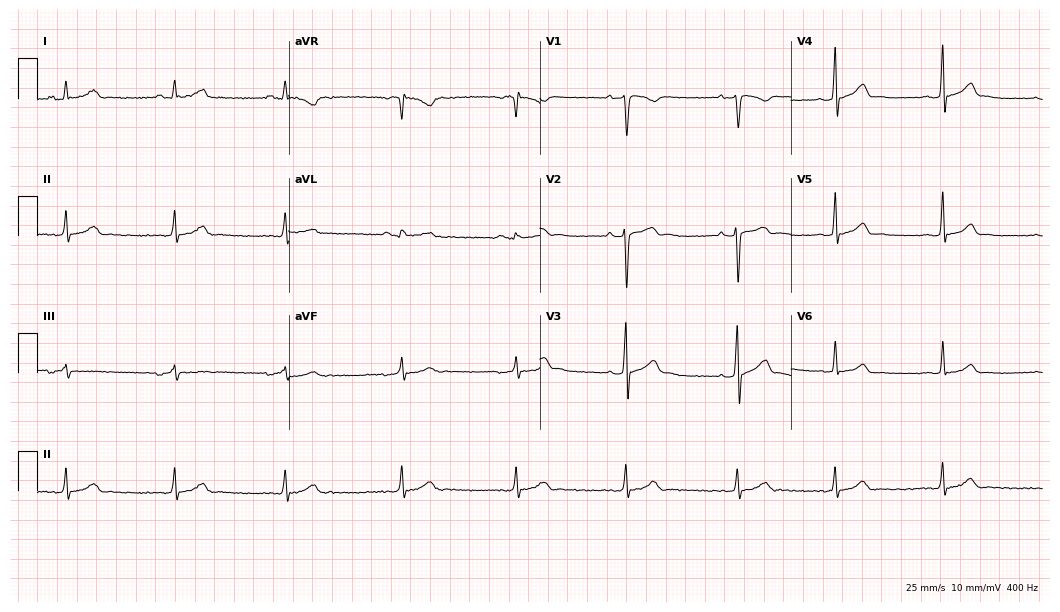
Electrocardiogram, a male, 27 years old. Overall reading on record: normal ECG.